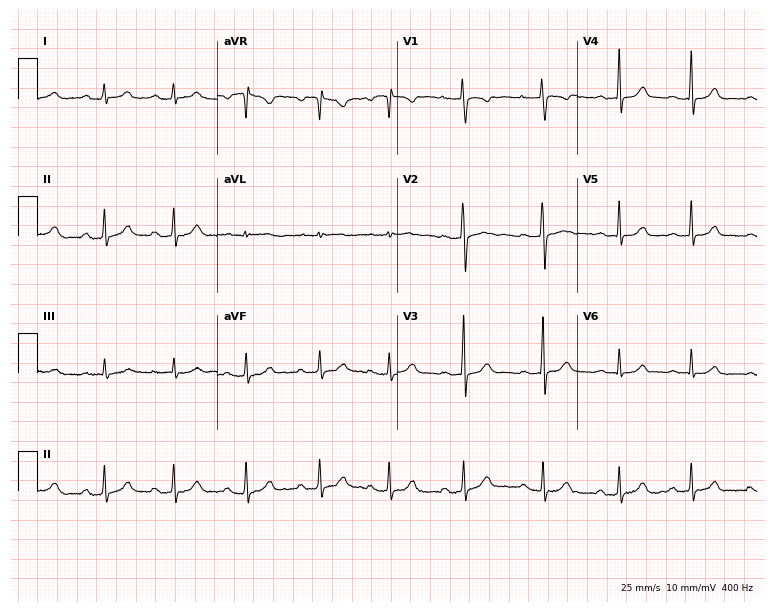
ECG (7.3-second recording at 400 Hz) — a female patient, 21 years old. Screened for six findings — first-degree AV block, right bundle branch block (RBBB), left bundle branch block (LBBB), sinus bradycardia, atrial fibrillation (AF), sinus tachycardia — none is recorded.